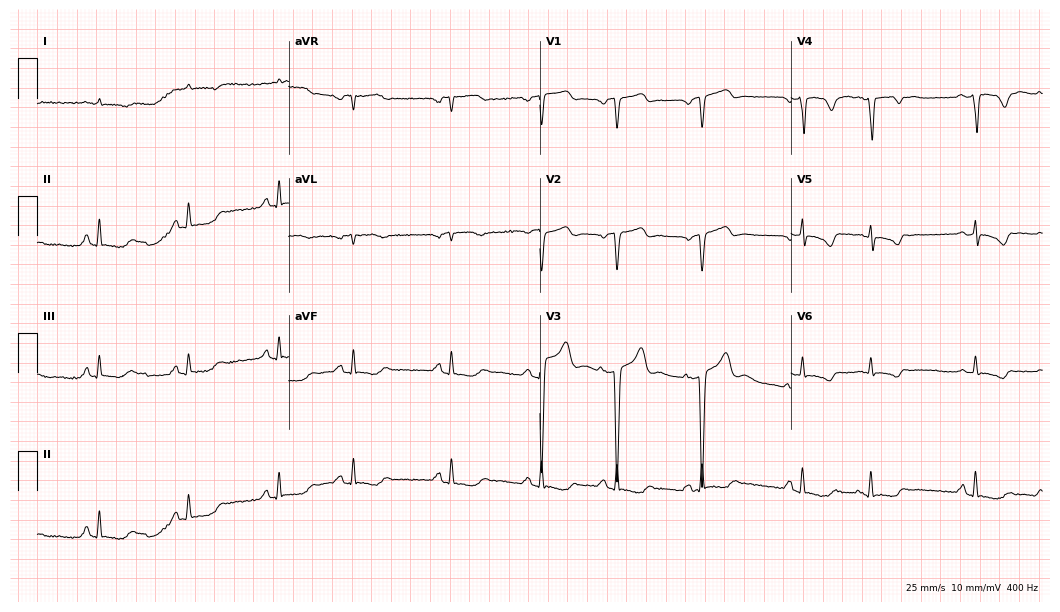
Standard 12-lead ECG recorded from an 82-year-old male patient (10.2-second recording at 400 Hz). None of these six findings is recorded: first-degree AV block, right bundle branch block, left bundle branch block, sinus bradycardia, atrial fibrillation, sinus tachycardia. Other findings, if any, are not listed.